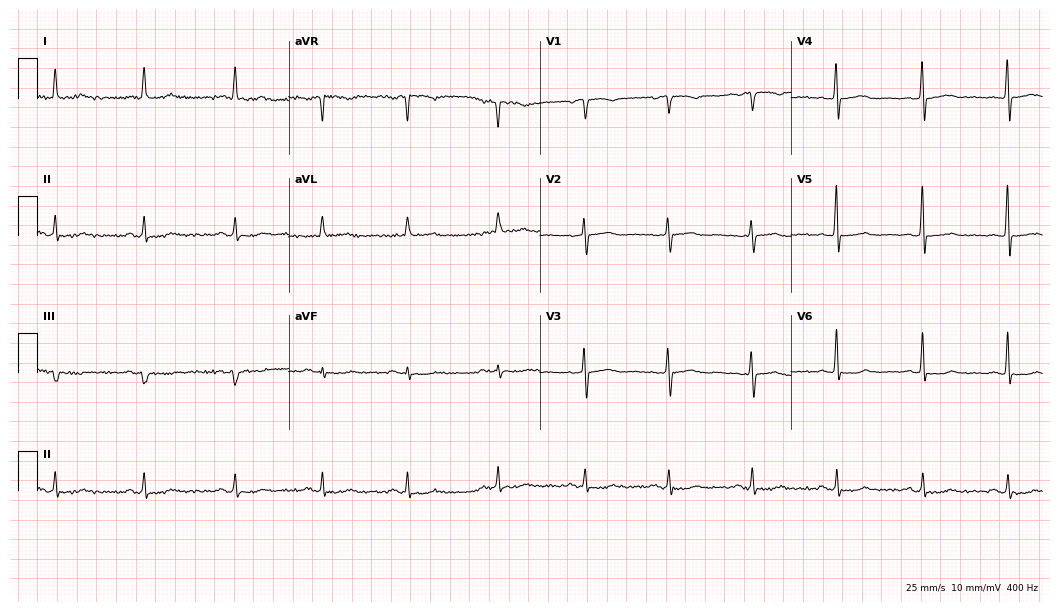
ECG — a 71-year-old female. Labelled as a normal ECG.